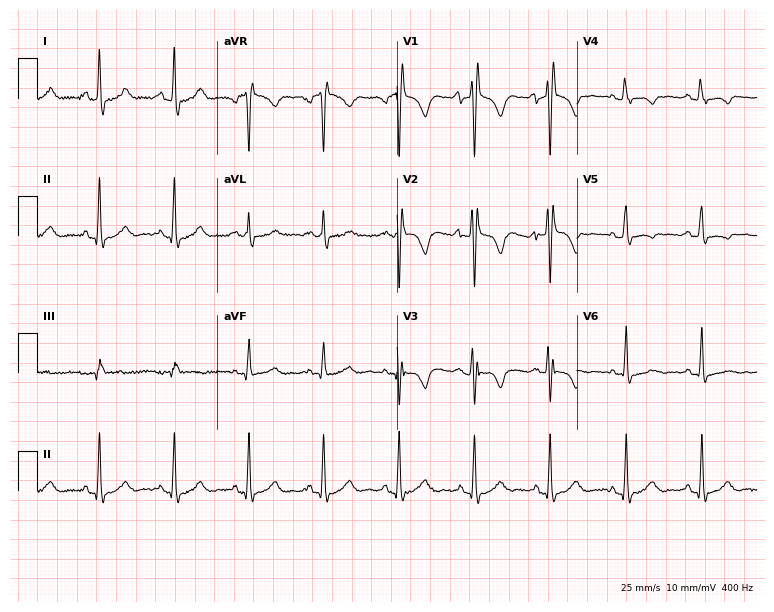
Electrocardiogram, a 22-year-old man. Of the six screened findings (first-degree AV block, right bundle branch block, left bundle branch block, sinus bradycardia, atrial fibrillation, sinus tachycardia), none is recorded. Other findings, if any, are not listed.